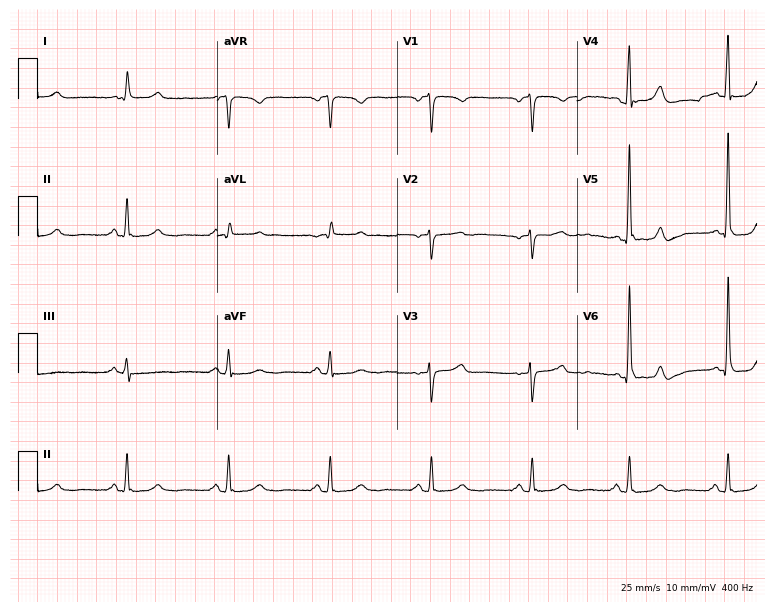
12-lead ECG from a 69-year-old woman (7.3-second recording at 400 Hz). Recorded interpretation: within normal limits.